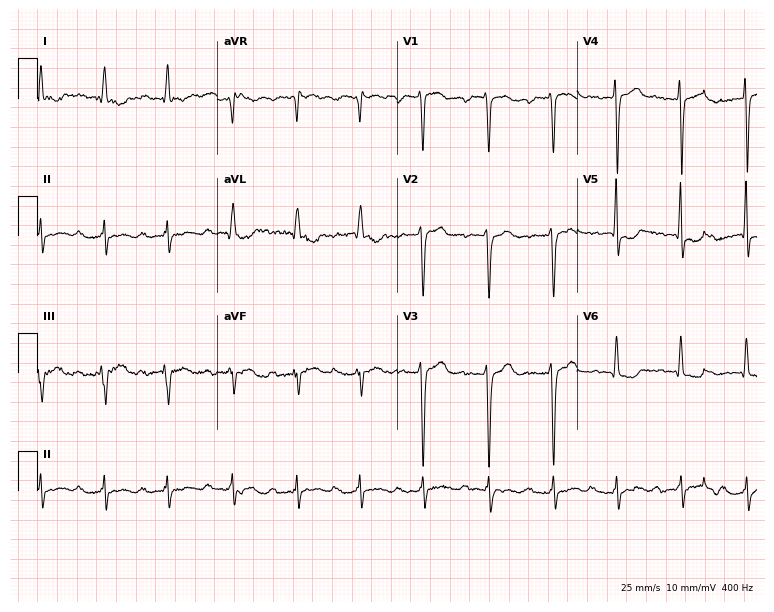
Electrocardiogram (7.3-second recording at 400 Hz), an 83-year-old male. Of the six screened findings (first-degree AV block, right bundle branch block, left bundle branch block, sinus bradycardia, atrial fibrillation, sinus tachycardia), none is recorded.